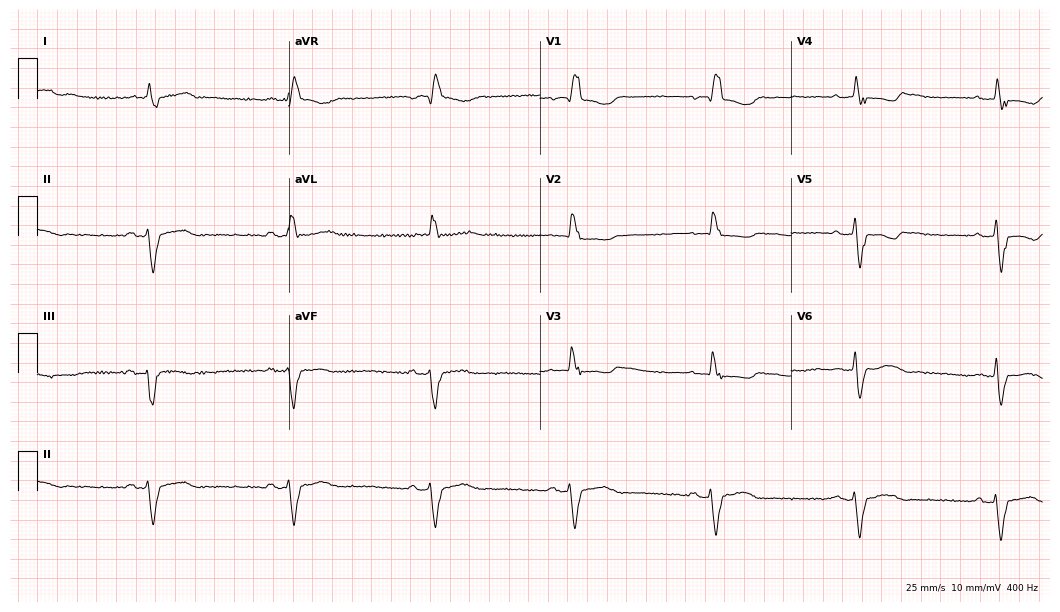
ECG (10.2-second recording at 400 Hz) — a female patient, 84 years old. Findings include right bundle branch block.